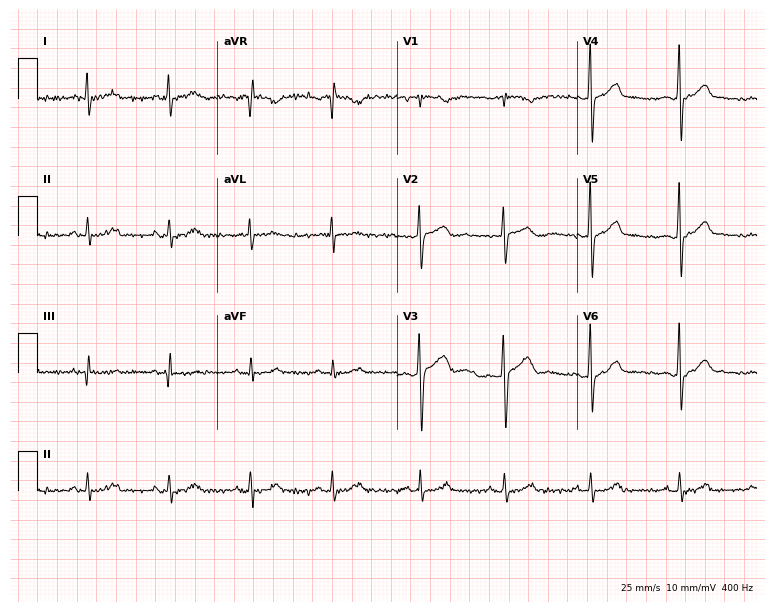
Standard 12-lead ECG recorded from a male, 39 years old. Read as a normal ECG.